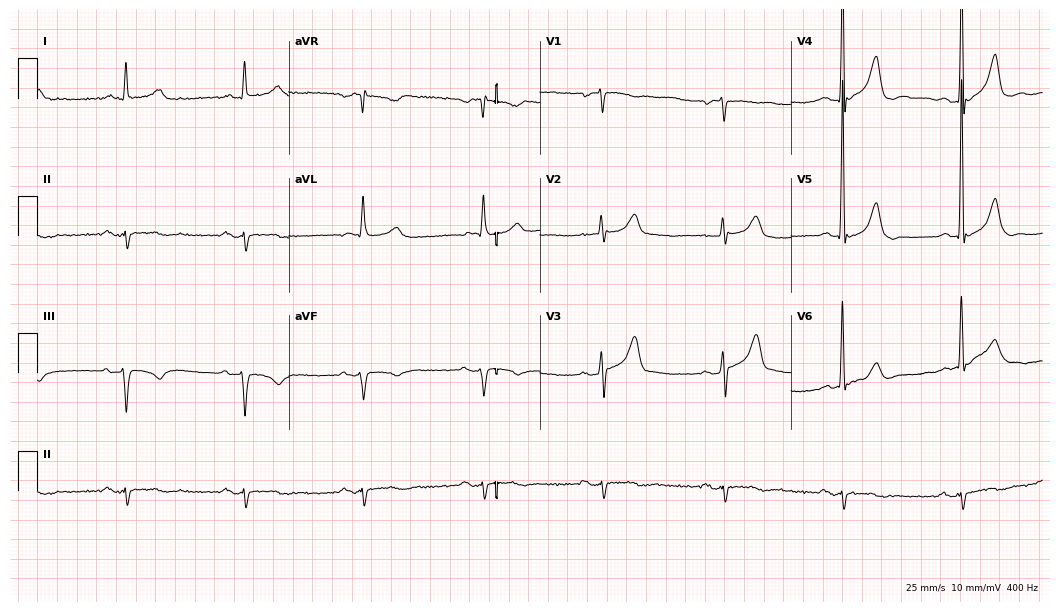
Resting 12-lead electrocardiogram (10.2-second recording at 400 Hz). Patient: a 75-year-old man. None of these six findings is recorded: first-degree AV block, right bundle branch block (RBBB), left bundle branch block (LBBB), sinus bradycardia, atrial fibrillation (AF), sinus tachycardia.